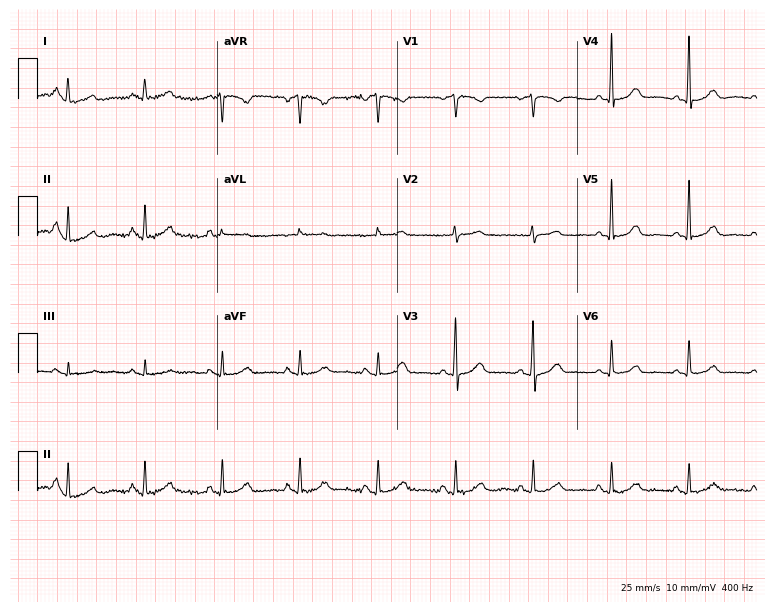
12-lead ECG from a 78-year-old female patient. Recorded interpretation: within normal limits.